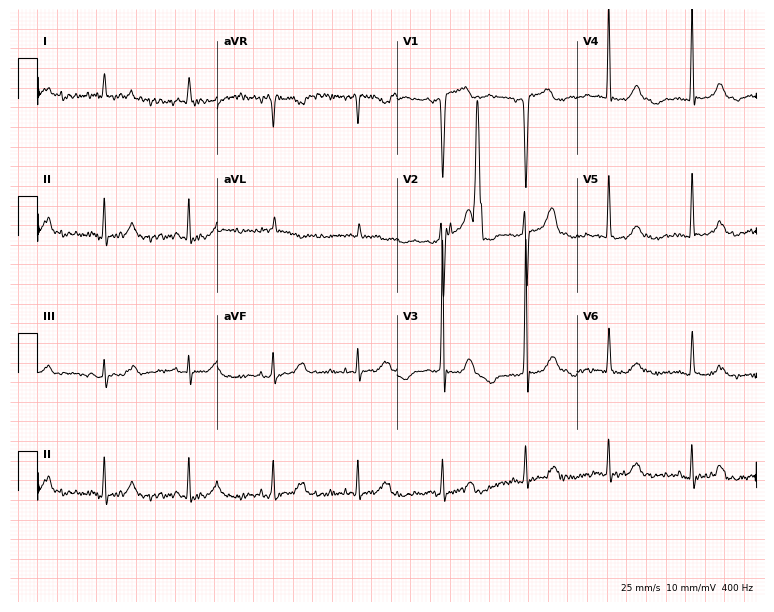
12-lead ECG from a female, 80 years old. No first-degree AV block, right bundle branch block, left bundle branch block, sinus bradycardia, atrial fibrillation or sinus tachycardia recorded for this tracing. Other findings, if any, are not listed.